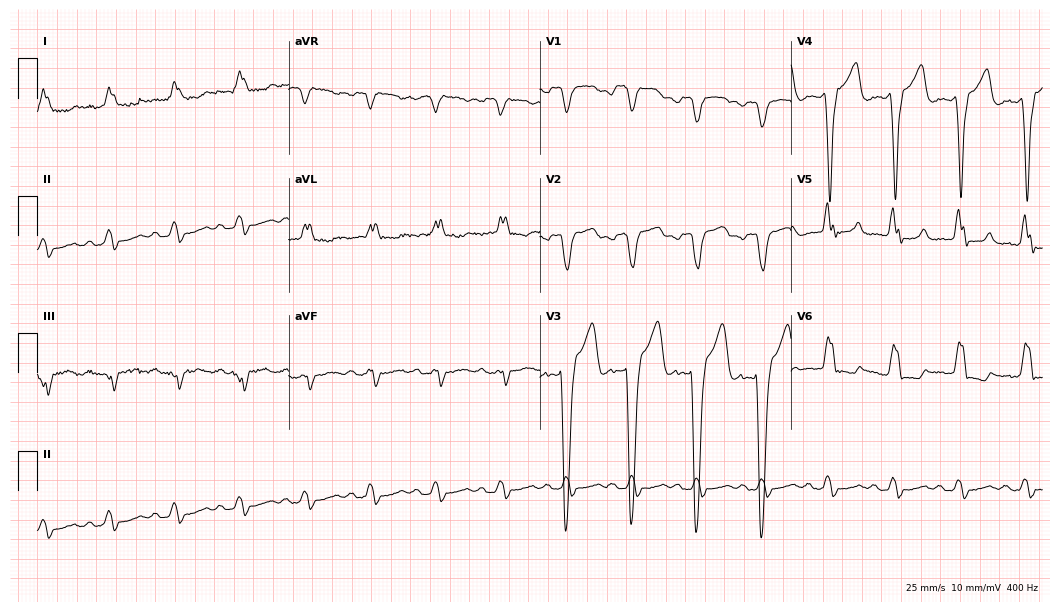
ECG (10.2-second recording at 400 Hz) — a male patient, 55 years old. Findings include left bundle branch block.